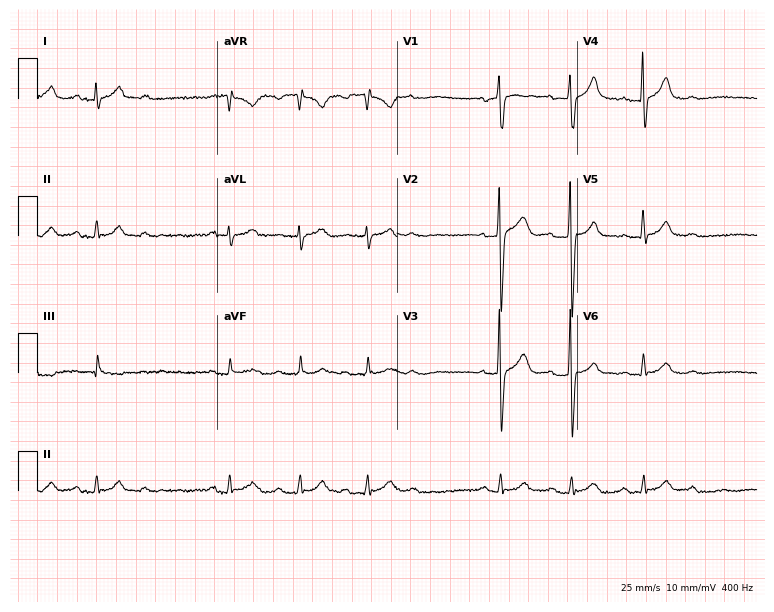
Resting 12-lead electrocardiogram. Patient: a 40-year-old male. None of these six findings is recorded: first-degree AV block, right bundle branch block, left bundle branch block, sinus bradycardia, atrial fibrillation, sinus tachycardia.